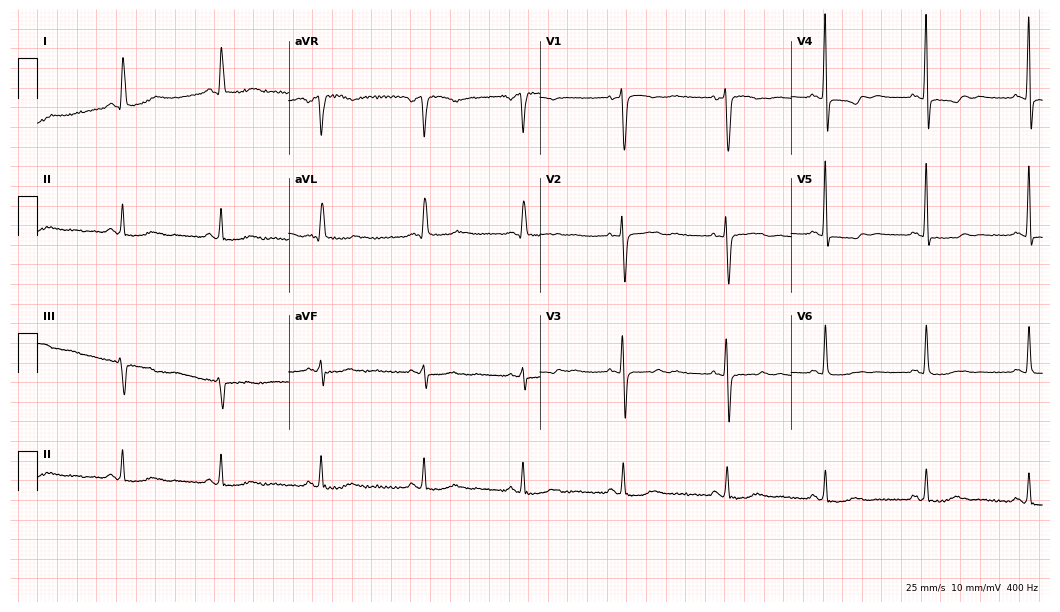
Standard 12-lead ECG recorded from a female, 51 years old. None of these six findings is recorded: first-degree AV block, right bundle branch block (RBBB), left bundle branch block (LBBB), sinus bradycardia, atrial fibrillation (AF), sinus tachycardia. Only these six findings were labelled.